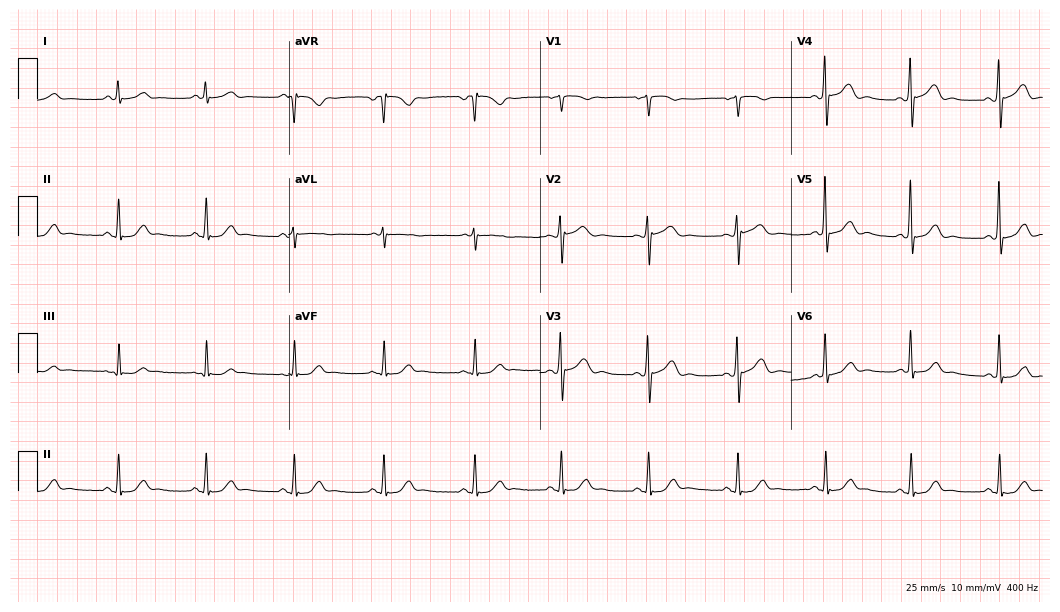
ECG (10.2-second recording at 400 Hz) — a male patient, 67 years old. Screened for six findings — first-degree AV block, right bundle branch block (RBBB), left bundle branch block (LBBB), sinus bradycardia, atrial fibrillation (AF), sinus tachycardia — none is recorded.